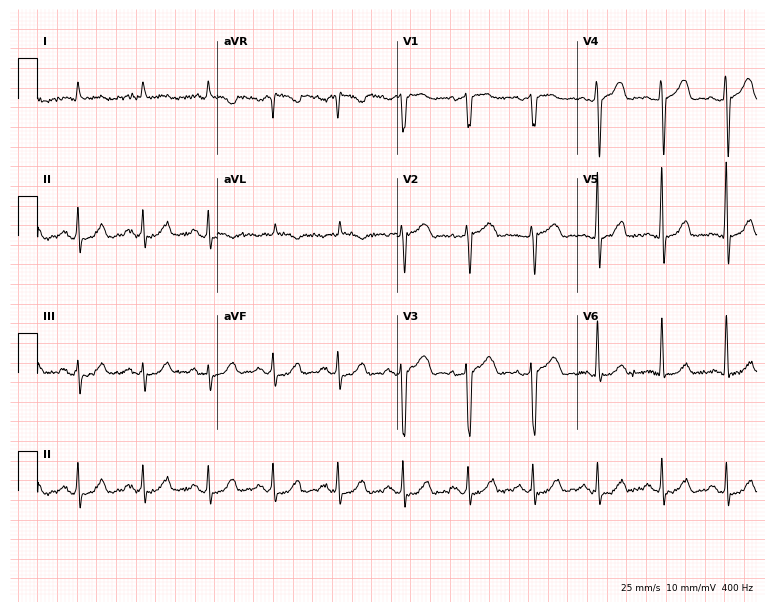
ECG (7.3-second recording at 400 Hz) — a man, 68 years old. Labelled as a normal ECG.